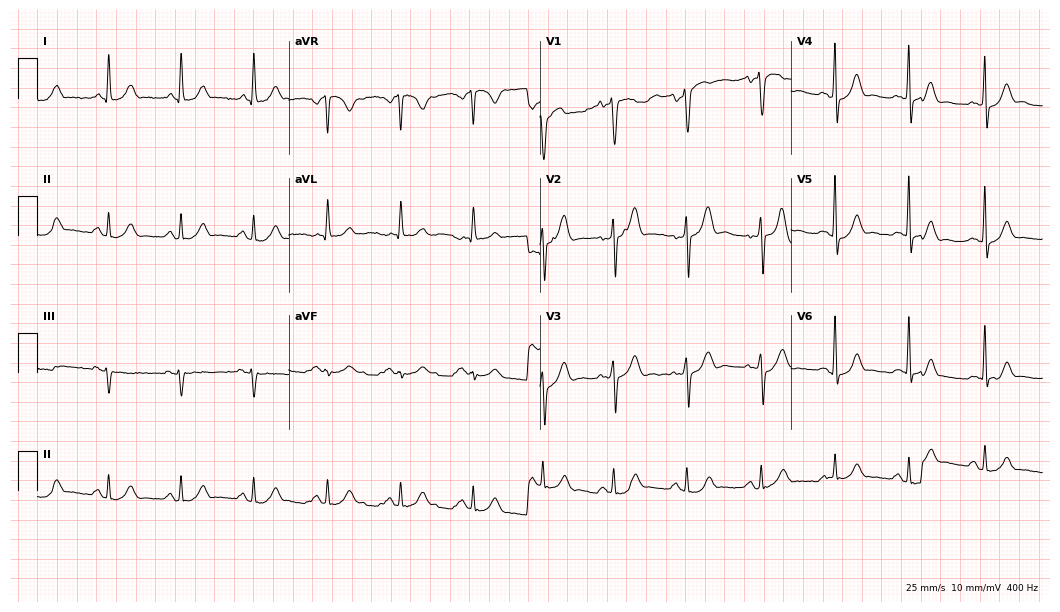
Standard 12-lead ECG recorded from a man, 51 years old (10.2-second recording at 400 Hz). Read as a normal ECG.